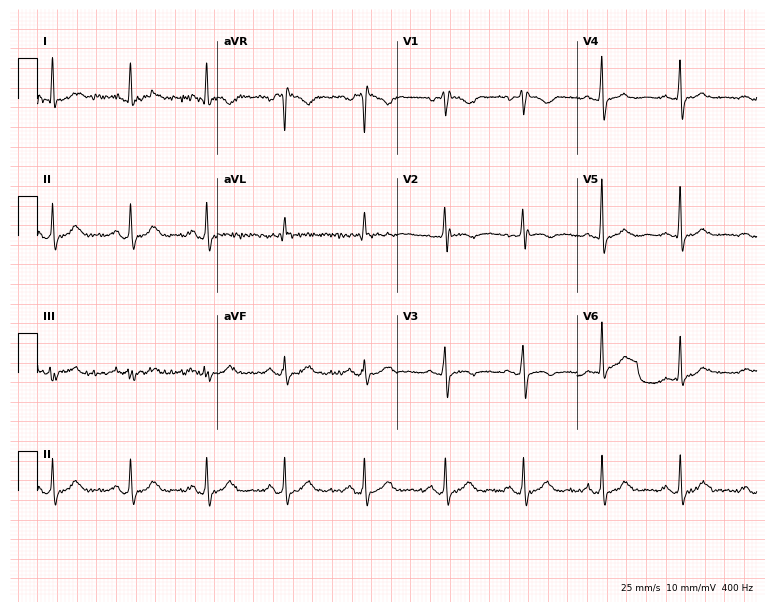
Electrocardiogram, a woman, 55 years old. Of the six screened findings (first-degree AV block, right bundle branch block (RBBB), left bundle branch block (LBBB), sinus bradycardia, atrial fibrillation (AF), sinus tachycardia), none is recorded.